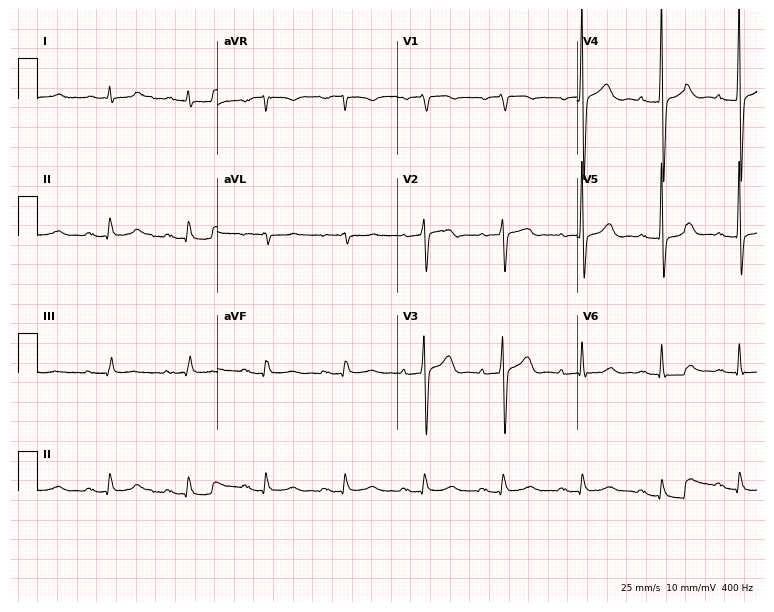
Standard 12-lead ECG recorded from a male patient, 84 years old (7.3-second recording at 400 Hz). Read as a normal ECG.